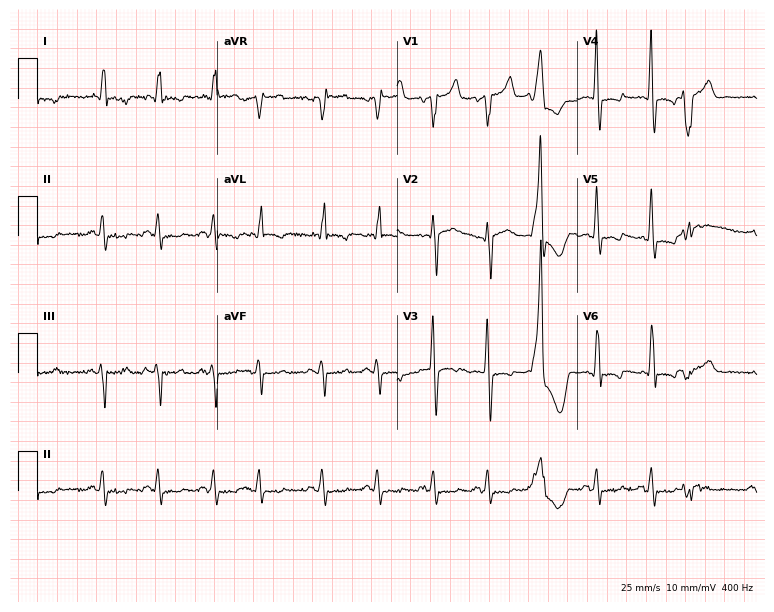
12-lead ECG from a 72-year-old male patient. Screened for six findings — first-degree AV block, right bundle branch block (RBBB), left bundle branch block (LBBB), sinus bradycardia, atrial fibrillation (AF), sinus tachycardia — none is recorded. Only these six findings were labelled.